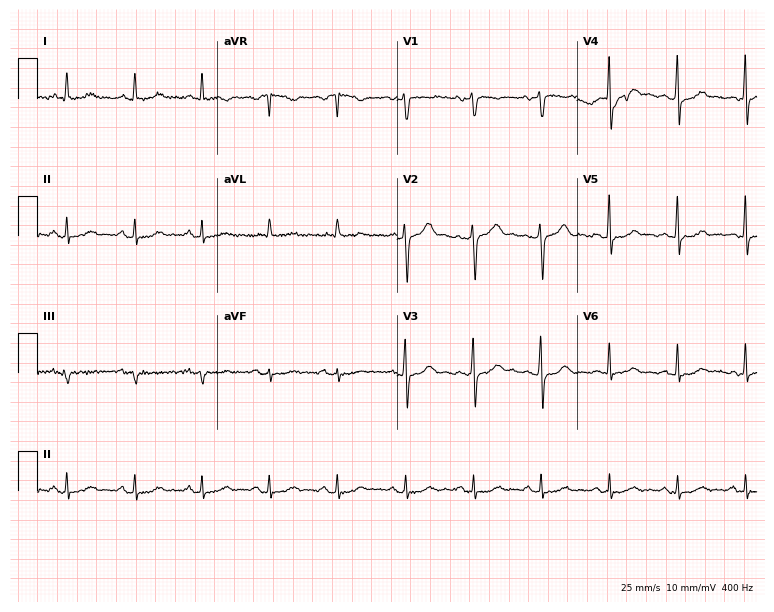
12-lead ECG (7.3-second recording at 400 Hz) from a male, 72 years old. Screened for six findings — first-degree AV block, right bundle branch block, left bundle branch block, sinus bradycardia, atrial fibrillation, sinus tachycardia — none is recorded.